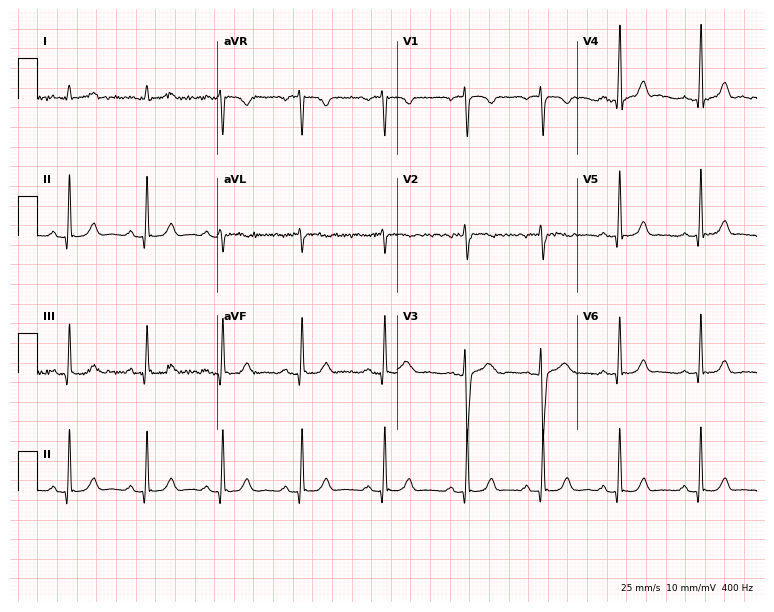
Standard 12-lead ECG recorded from a 42-year-old female (7.3-second recording at 400 Hz). Read as a normal ECG.